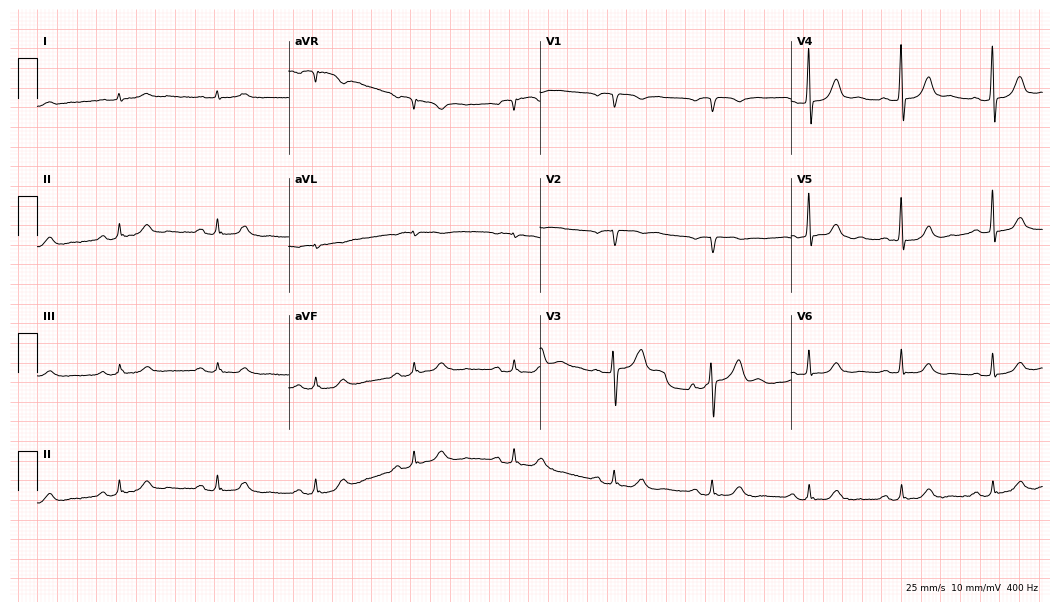
Electrocardiogram, a 78-year-old male. Overall reading on record: normal ECG.